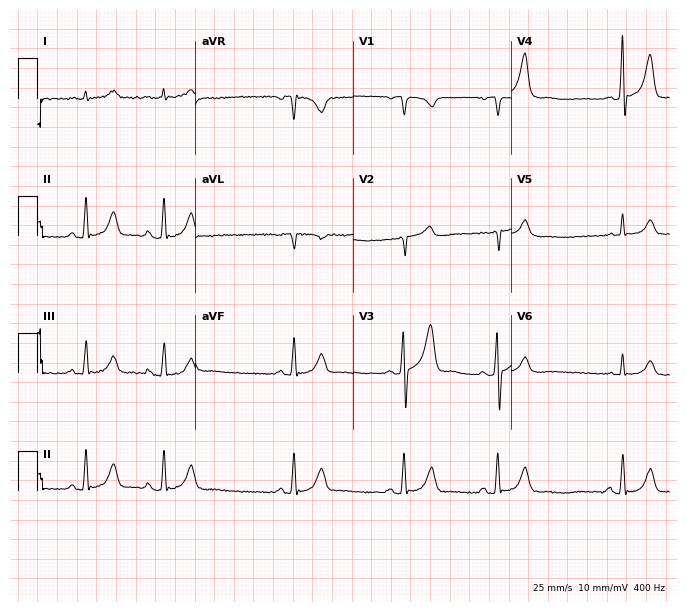
12-lead ECG from a man, 80 years old. Screened for six findings — first-degree AV block, right bundle branch block, left bundle branch block, sinus bradycardia, atrial fibrillation, sinus tachycardia — none is recorded. Findings outside these six are not listed.